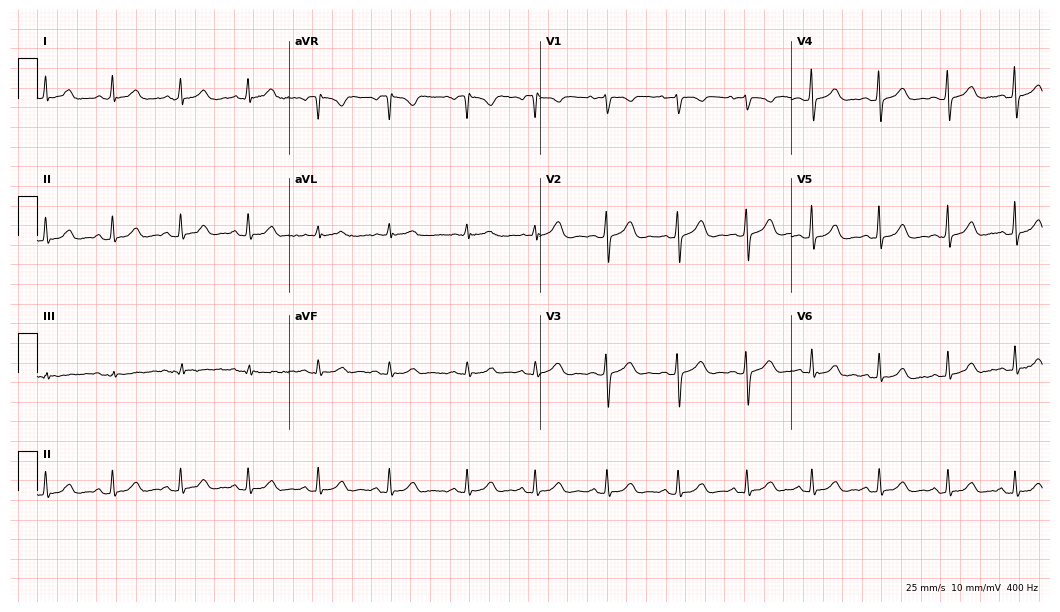
ECG — a woman, 17 years old. Labelled as a normal ECG.